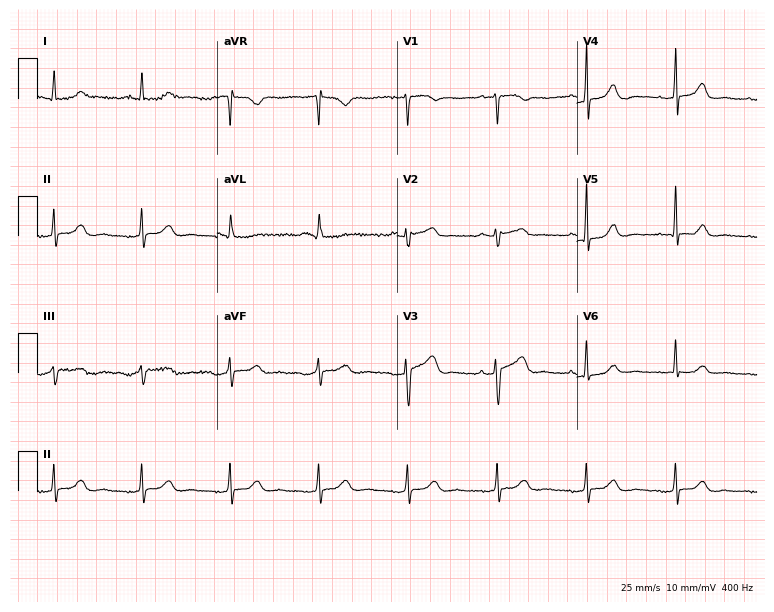
ECG — a 74-year-old female patient. Labelled as a normal ECG.